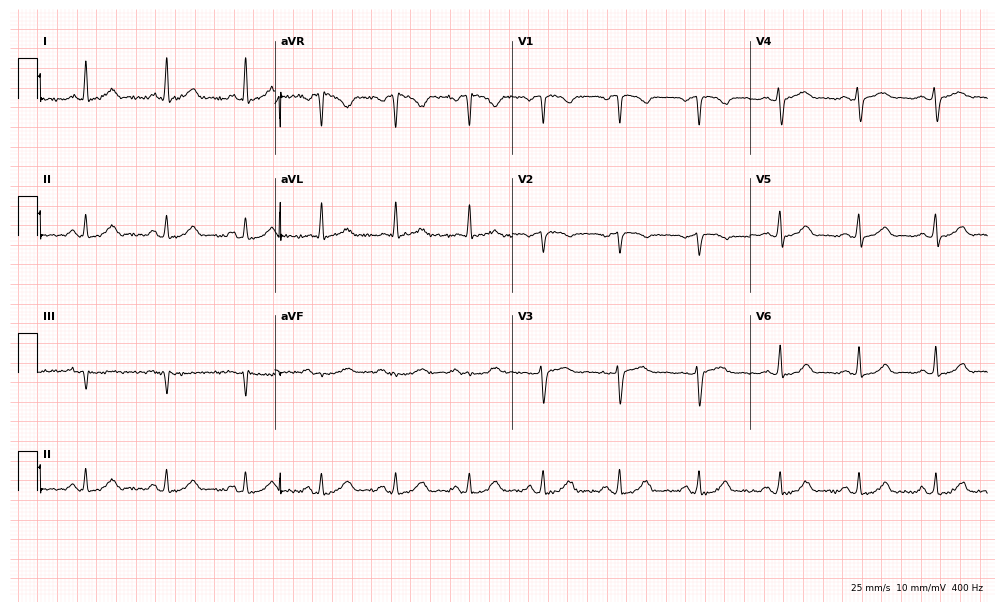
12-lead ECG from a 47-year-old woman. Labelled as a normal ECG.